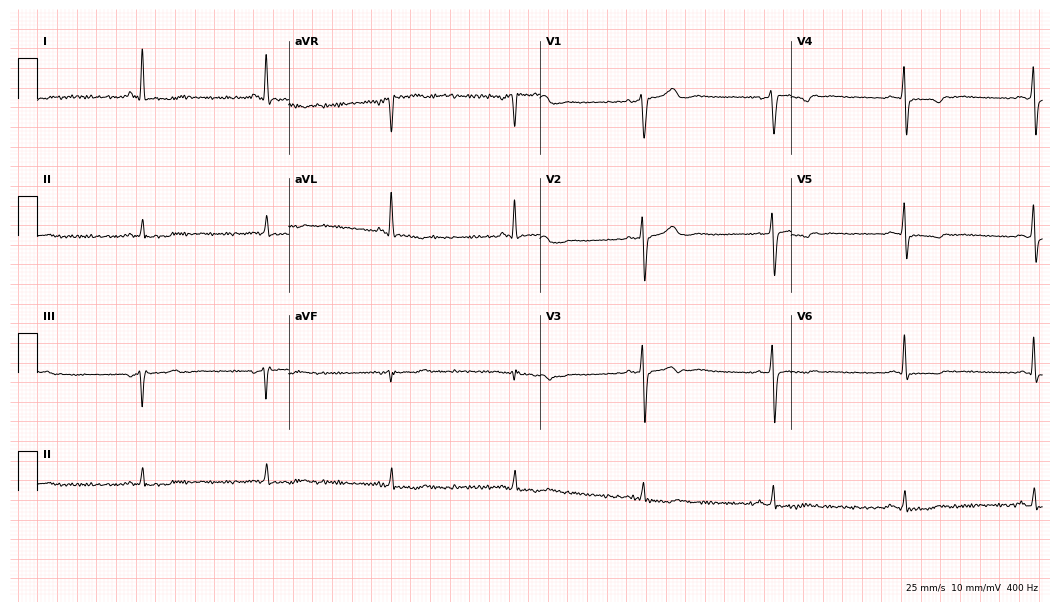
Resting 12-lead electrocardiogram. Patient: a 68-year-old female. None of these six findings is recorded: first-degree AV block, right bundle branch block, left bundle branch block, sinus bradycardia, atrial fibrillation, sinus tachycardia. Other findings, if any, are not listed.